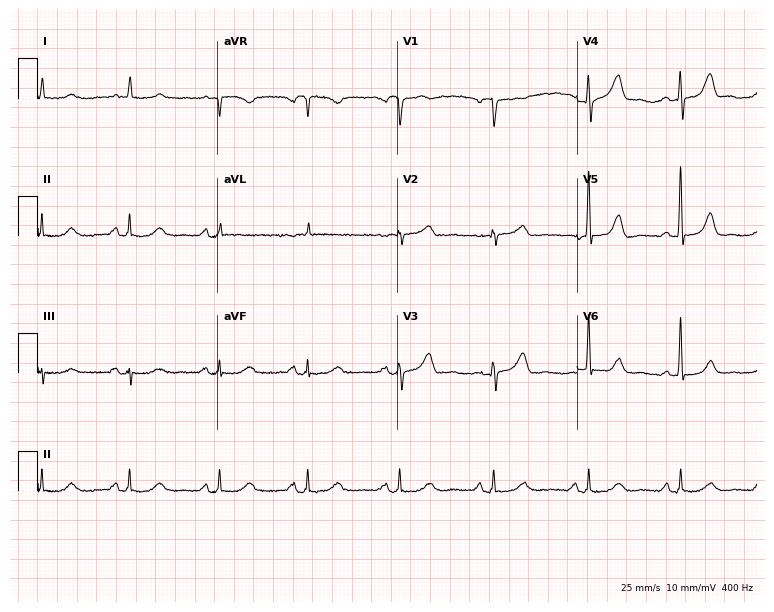
Standard 12-lead ECG recorded from a 66-year-old female. None of these six findings is recorded: first-degree AV block, right bundle branch block, left bundle branch block, sinus bradycardia, atrial fibrillation, sinus tachycardia. Other findings, if any, are not listed.